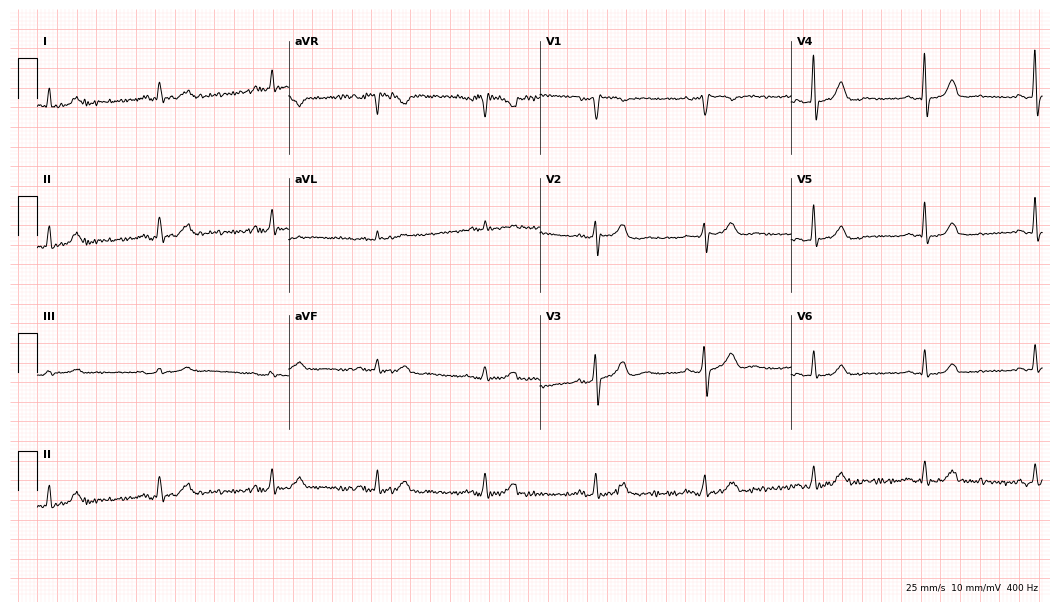
12-lead ECG (10.2-second recording at 400 Hz) from a man, 72 years old. Labelled as a normal ECG.